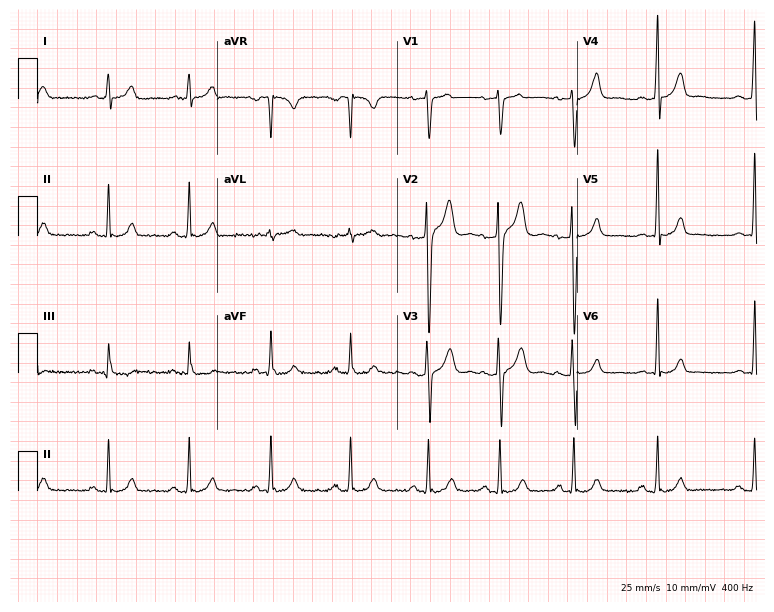
Standard 12-lead ECG recorded from a male patient, 28 years old (7.3-second recording at 400 Hz). None of these six findings is recorded: first-degree AV block, right bundle branch block, left bundle branch block, sinus bradycardia, atrial fibrillation, sinus tachycardia. Only these six findings were labelled.